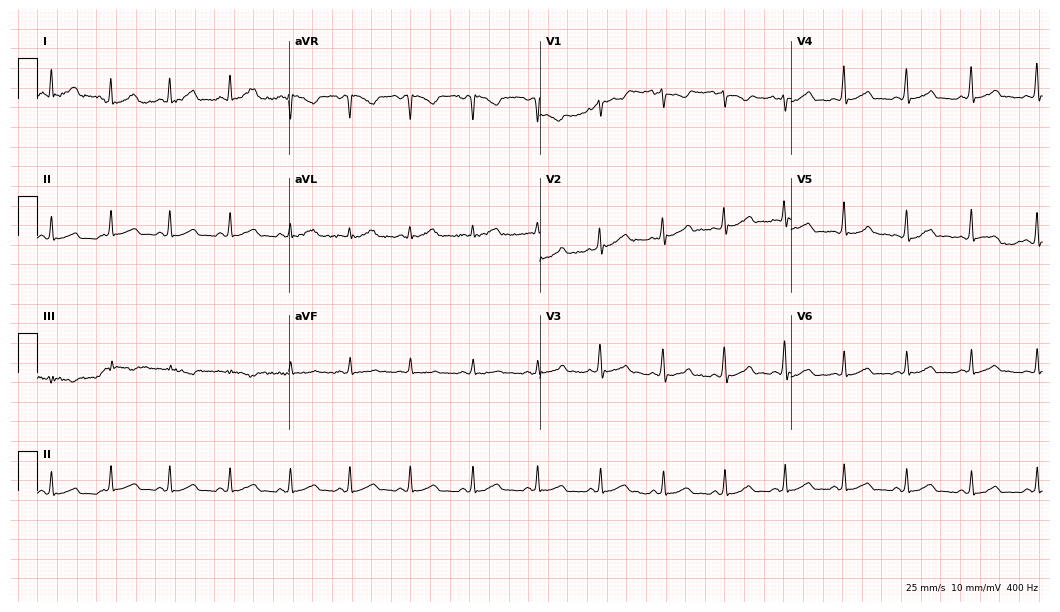
Resting 12-lead electrocardiogram (10.2-second recording at 400 Hz). Patient: a female, 28 years old. Read as a normal ECG.